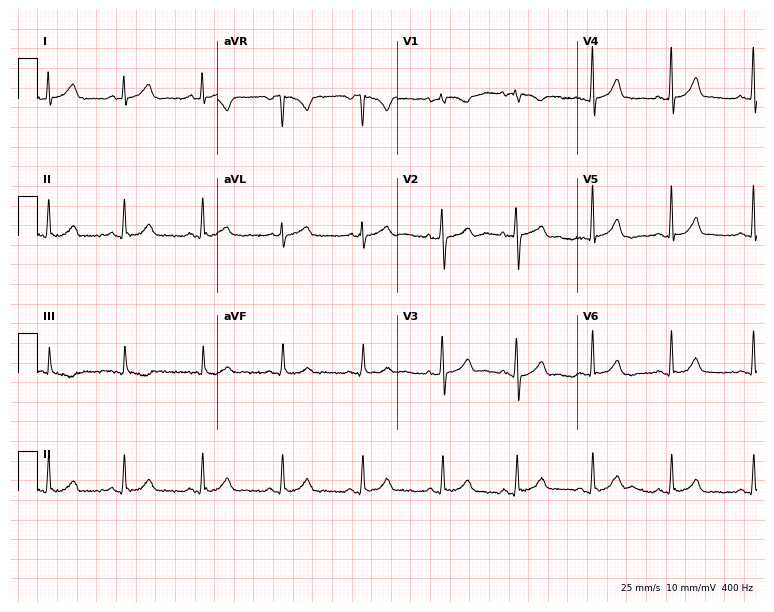
Standard 12-lead ECG recorded from a female, 45 years old. Read as a normal ECG.